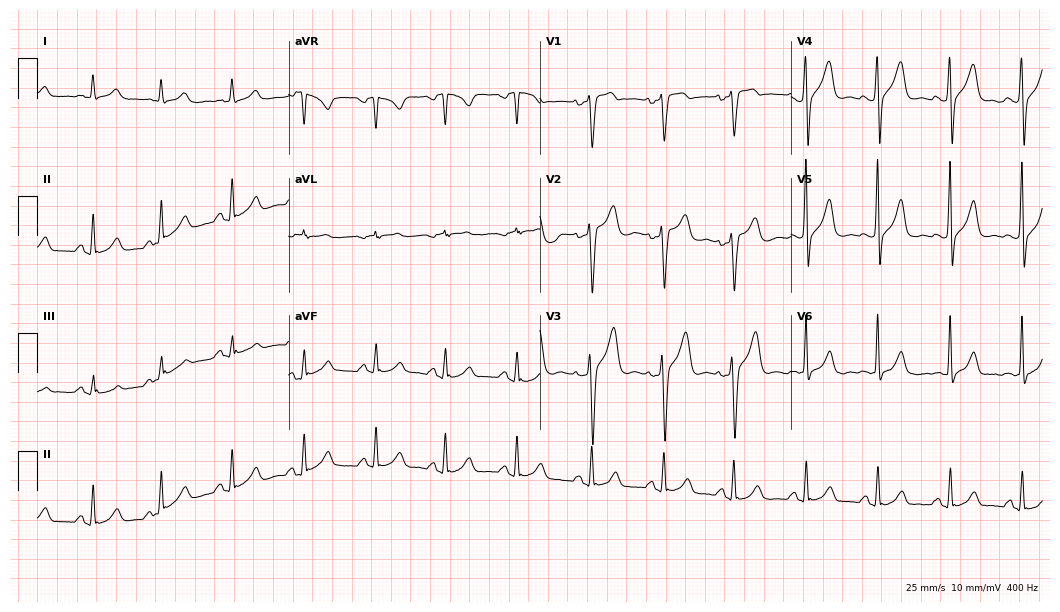
Resting 12-lead electrocardiogram (10.2-second recording at 400 Hz). Patient: a 41-year-old male. None of these six findings is recorded: first-degree AV block, right bundle branch block (RBBB), left bundle branch block (LBBB), sinus bradycardia, atrial fibrillation (AF), sinus tachycardia.